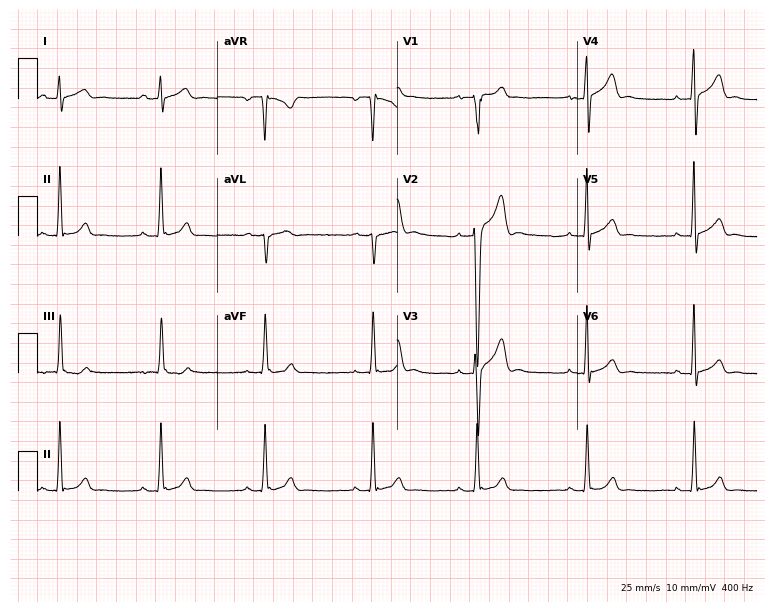
Electrocardiogram, a male, 18 years old. Overall reading on record: normal ECG.